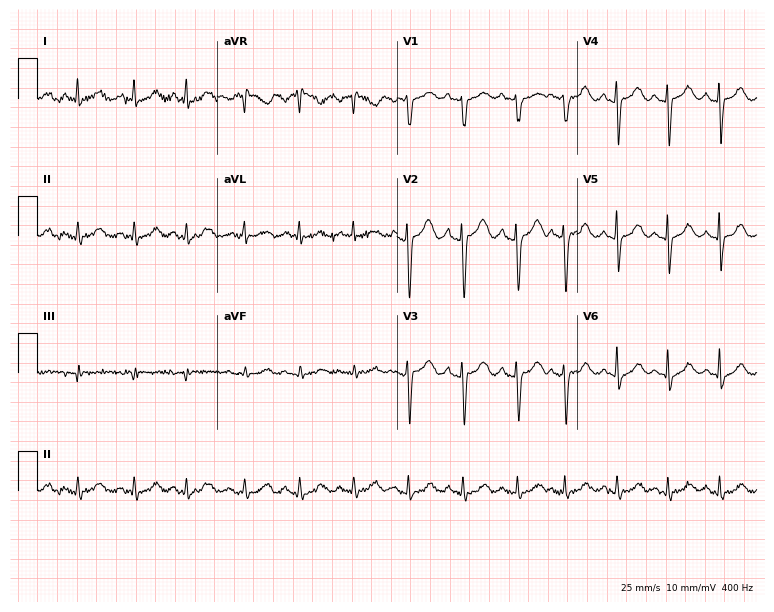
Resting 12-lead electrocardiogram. Patient: a female, 63 years old. The tracing shows sinus tachycardia (a sinus rate of 100 beats per minute or more).